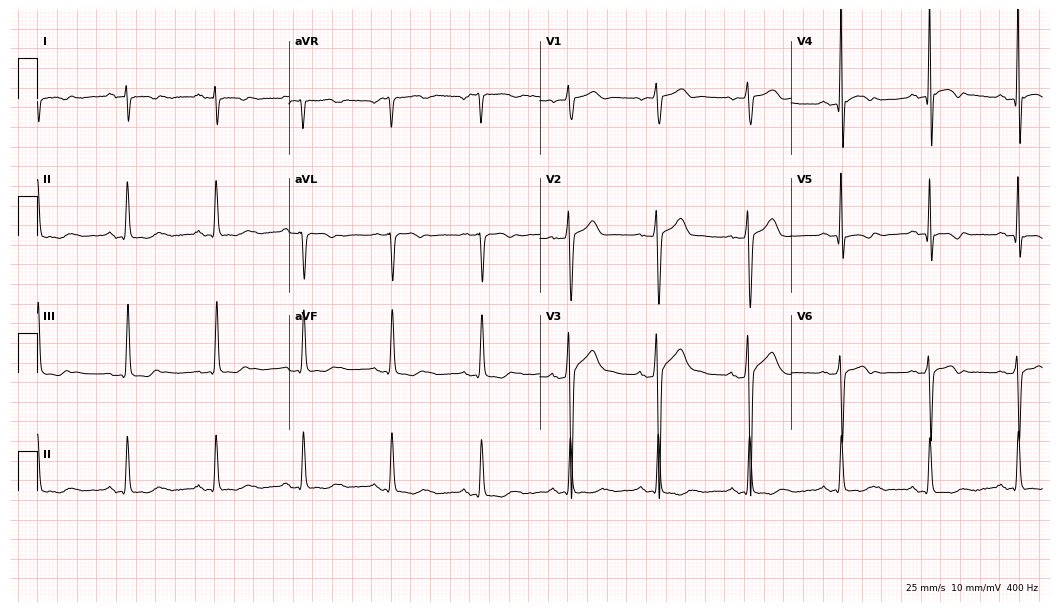
Resting 12-lead electrocardiogram. Patient: a 34-year-old male. None of these six findings is recorded: first-degree AV block, right bundle branch block, left bundle branch block, sinus bradycardia, atrial fibrillation, sinus tachycardia. Only these six findings were labelled.